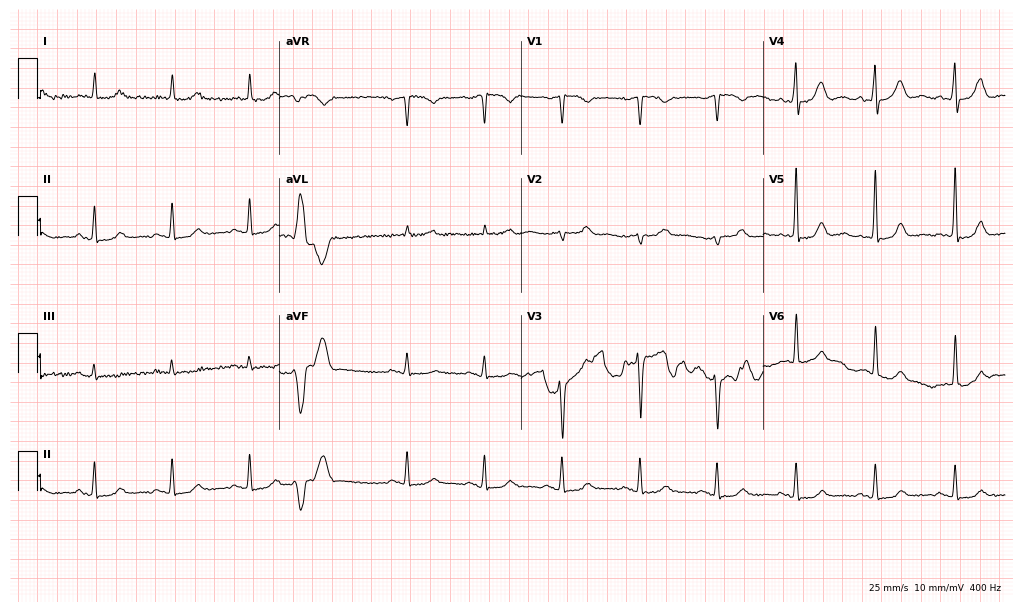
Standard 12-lead ECG recorded from a 78-year-old female patient (9.9-second recording at 400 Hz). None of these six findings is recorded: first-degree AV block, right bundle branch block (RBBB), left bundle branch block (LBBB), sinus bradycardia, atrial fibrillation (AF), sinus tachycardia. Findings outside these six are not listed.